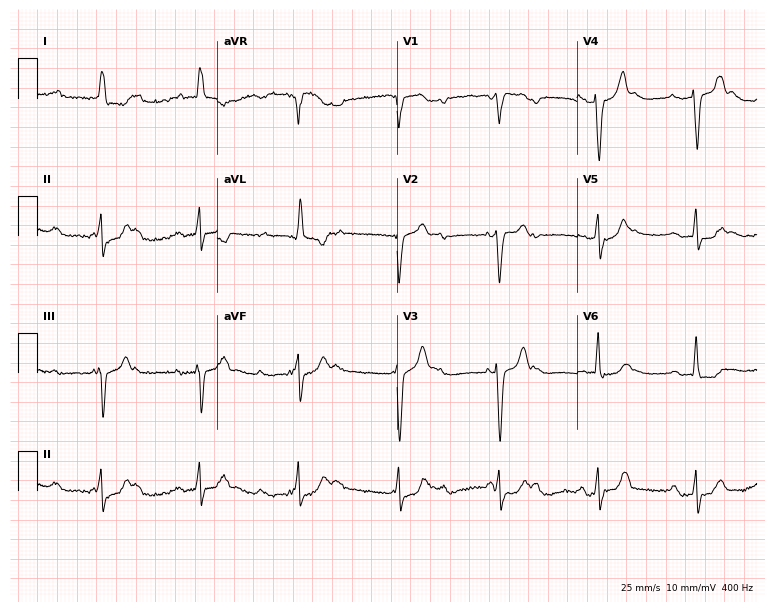
Resting 12-lead electrocardiogram. Patient: an 81-year-old female. None of these six findings is recorded: first-degree AV block, right bundle branch block, left bundle branch block, sinus bradycardia, atrial fibrillation, sinus tachycardia. Only these six findings were labelled.